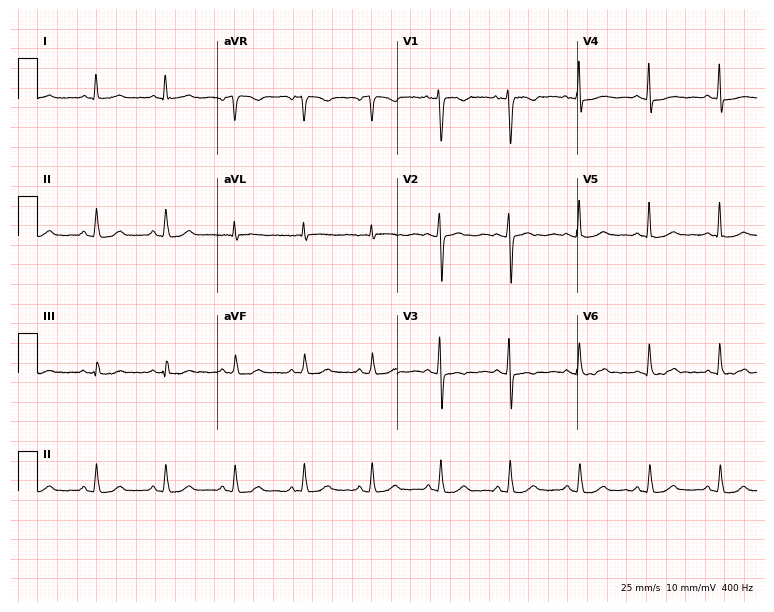
12-lead ECG from a 49-year-old female. Screened for six findings — first-degree AV block, right bundle branch block (RBBB), left bundle branch block (LBBB), sinus bradycardia, atrial fibrillation (AF), sinus tachycardia — none is recorded. Findings outside these six are not listed.